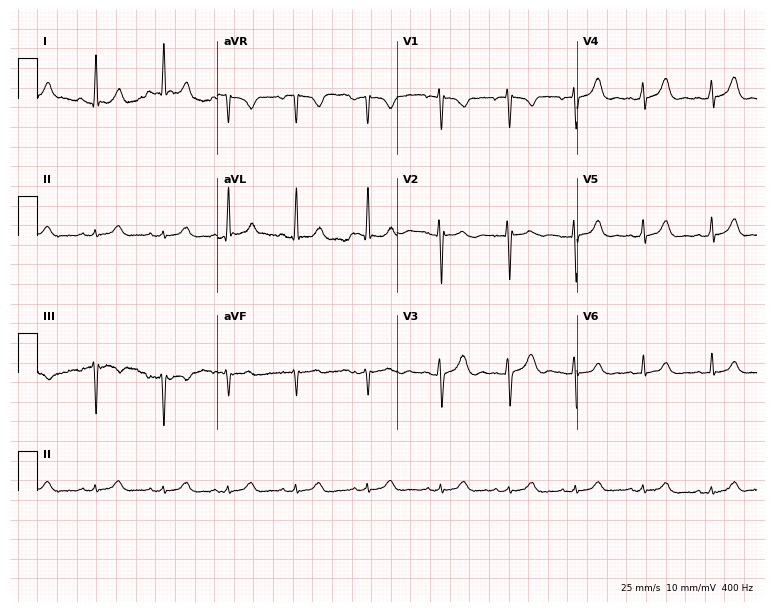
ECG — a woman, 27 years old. Screened for six findings — first-degree AV block, right bundle branch block, left bundle branch block, sinus bradycardia, atrial fibrillation, sinus tachycardia — none is recorded.